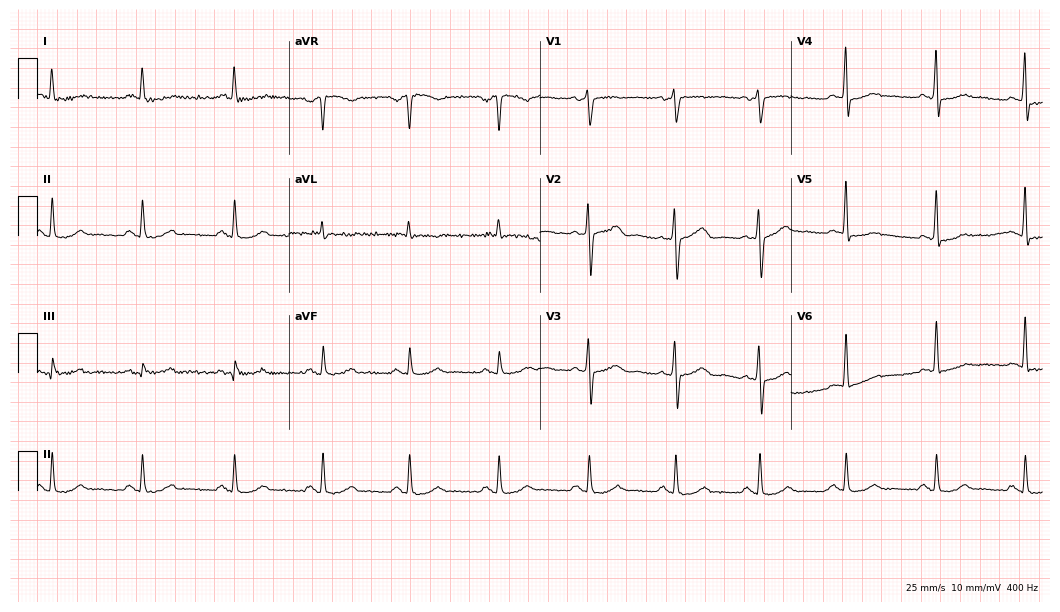
ECG — a male, 47 years old. Labelled as a normal ECG.